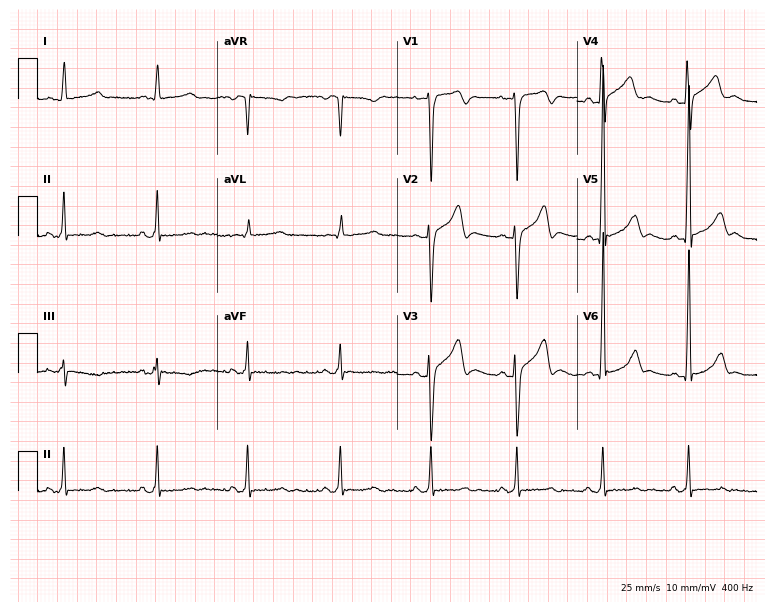
Resting 12-lead electrocardiogram. Patient: a male, 49 years old. None of these six findings is recorded: first-degree AV block, right bundle branch block, left bundle branch block, sinus bradycardia, atrial fibrillation, sinus tachycardia. Only these six findings were labelled.